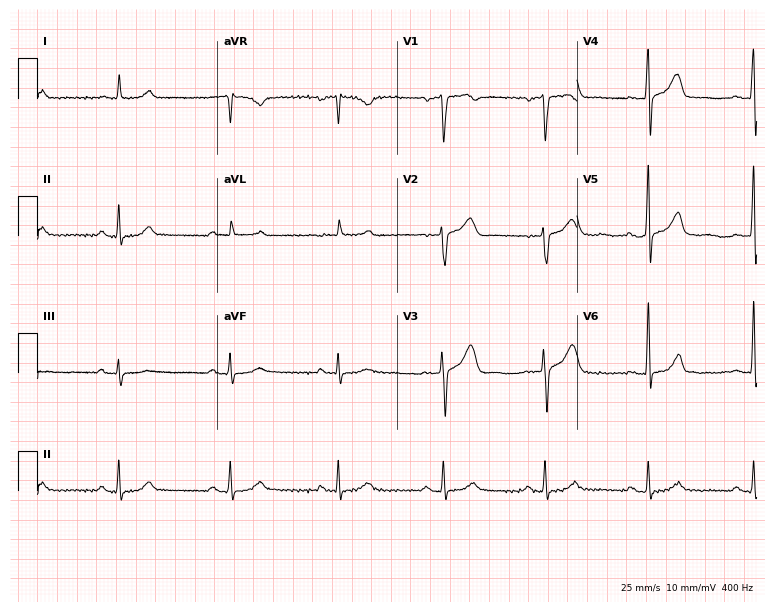
ECG — a 70-year-old male. Labelled as a normal ECG.